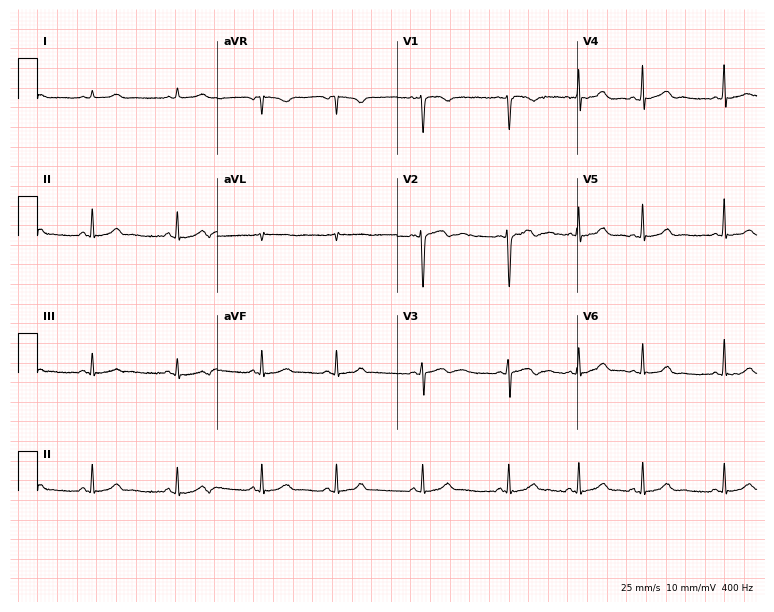
ECG — a woman, 20 years old. Screened for six findings — first-degree AV block, right bundle branch block, left bundle branch block, sinus bradycardia, atrial fibrillation, sinus tachycardia — none is recorded. Other findings, if any, are not listed.